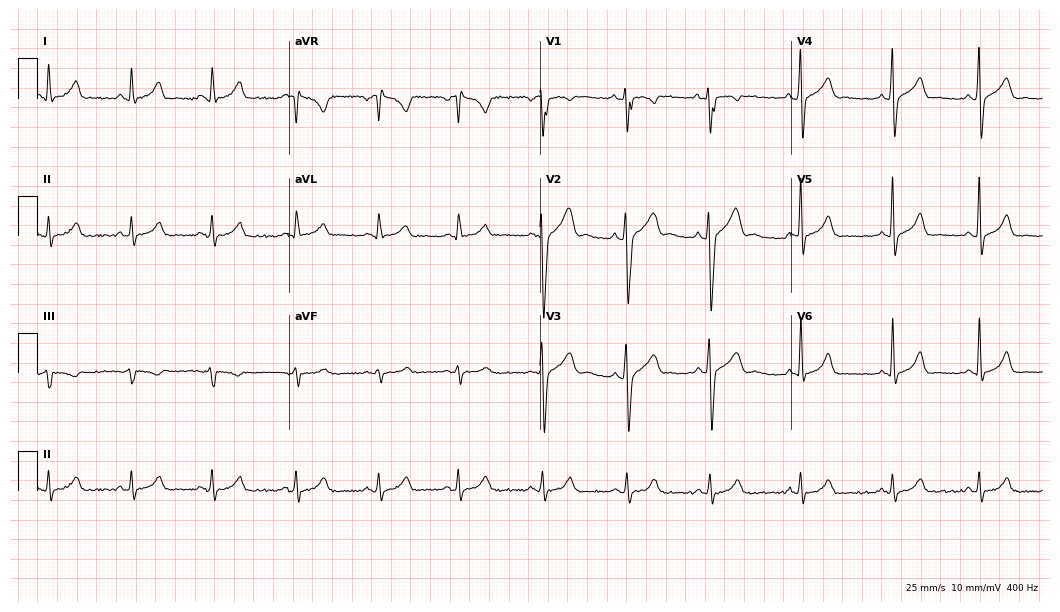
Standard 12-lead ECG recorded from a 28-year-old male (10.2-second recording at 400 Hz). Read as a normal ECG.